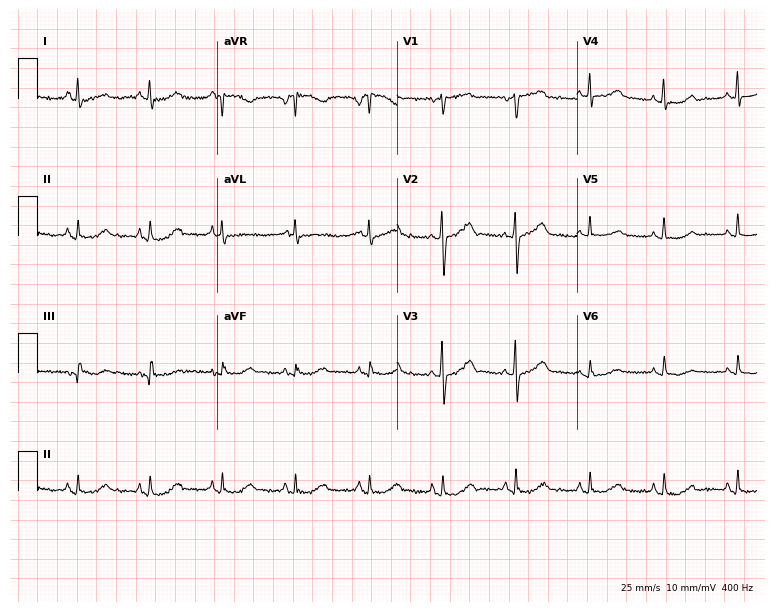
ECG (7.3-second recording at 400 Hz) — a female, 62 years old. Screened for six findings — first-degree AV block, right bundle branch block, left bundle branch block, sinus bradycardia, atrial fibrillation, sinus tachycardia — none is recorded. Findings outside these six are not listed.